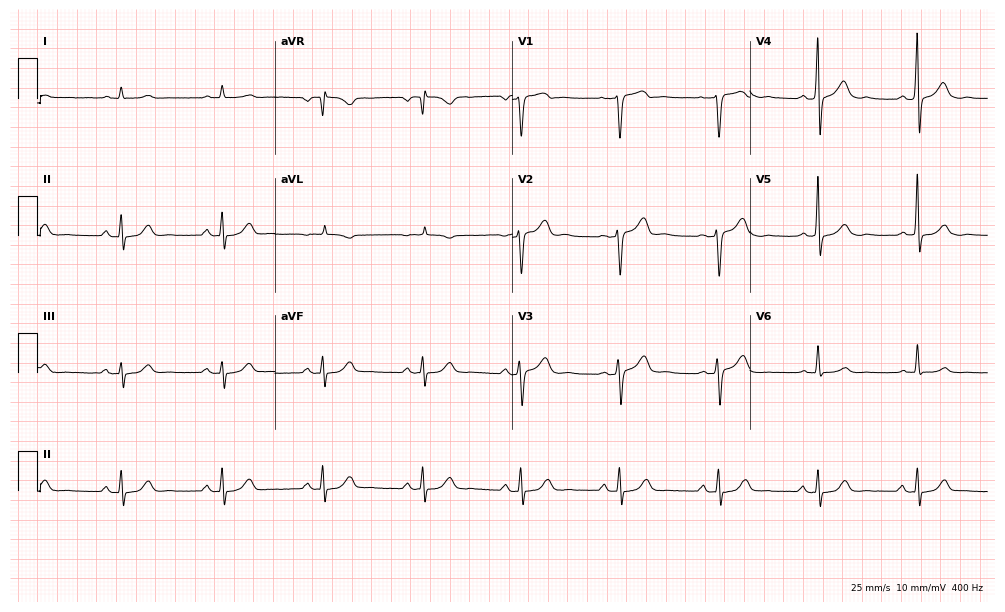
Electrocardiogram (9.7-second recording at 400 Hz), a 63-year-old male patient. Overall reading on record: normal ECG.